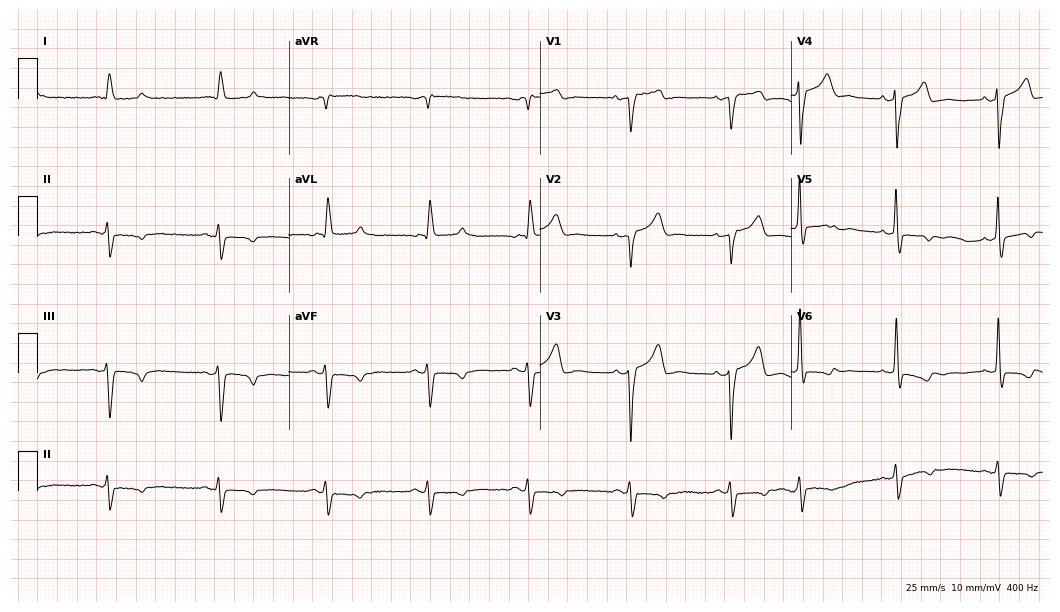
Resting 12-lead electrocardiogram (10.2-second recording at 400 Hz). Patient: an 83-year-old male. None of these six findings is recorded: first-degree AV block, right bundle branch block, left bundle branch block, sinus bradycardia, atrial fibrillation, sinus tachycardia.